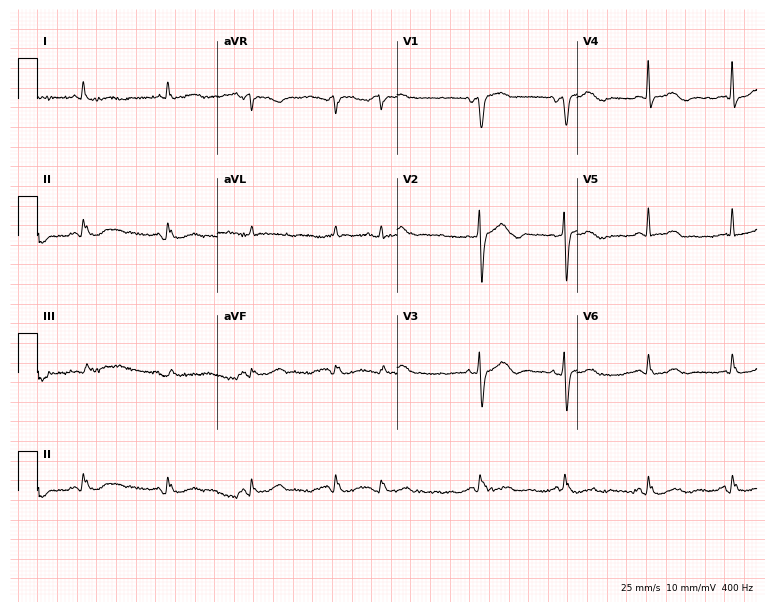
ECG — an 82-year-old man. Screened for six findings — first-degree AV block, right bundle branch block (RBBB), left bundle branch block (LBBB), sinus bradycardia, atrial fibrillation (AF), sinus tachycardia — none is recorded. Other findings, if any, are not listed.